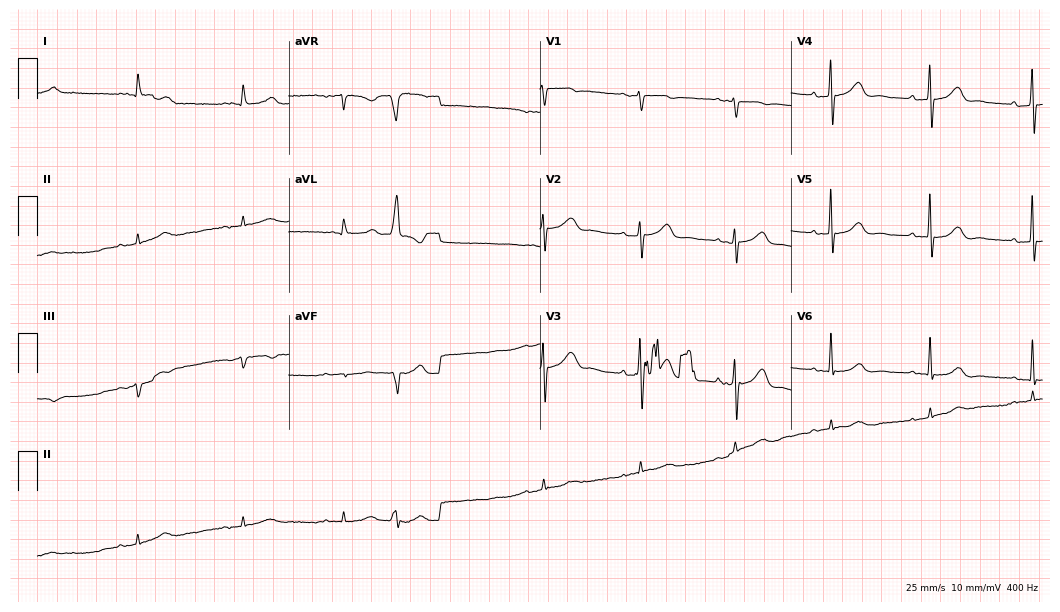
Resting 12-lead electrocardiogram (10.2-second recording at 400 Hz). Patient: a male, 82 years old. None of these six findings is recorded: first-degree AV block, right bundle branch block (RBBB), left bundle branch block (LBBB), sinus bradycardia, atrial fibrillation (AF), sinus tachycardia. Findings outside these six are not listed.